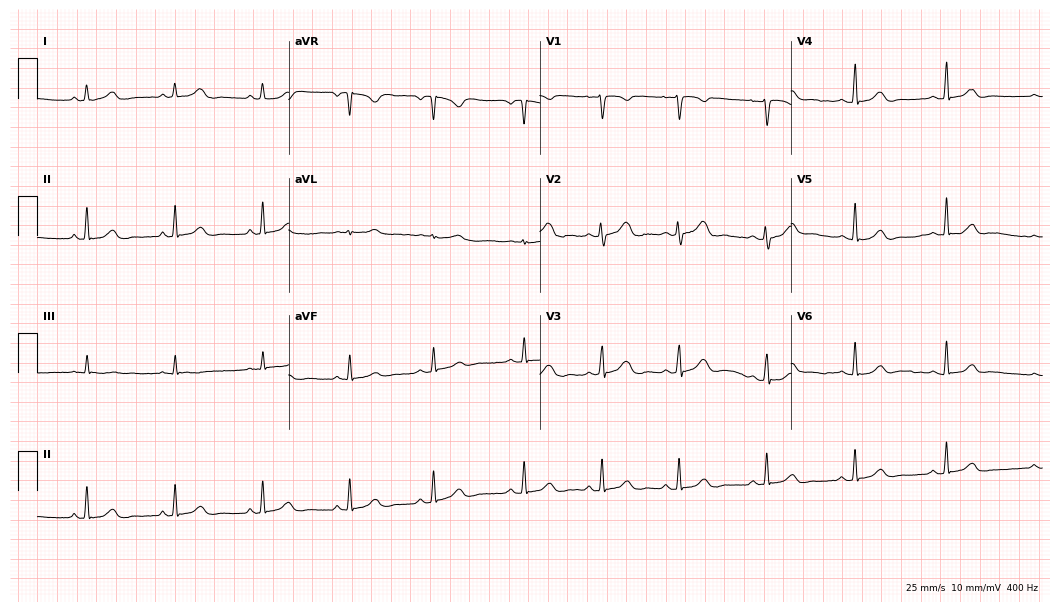
12-lead ECG from a 37-year-old female. Screened for six findings — first-degree AV block, right bundle branch block, left bundle branch block, sinus bradycardia, atrial fibrillation, sinus tachycardia — none is recorded.